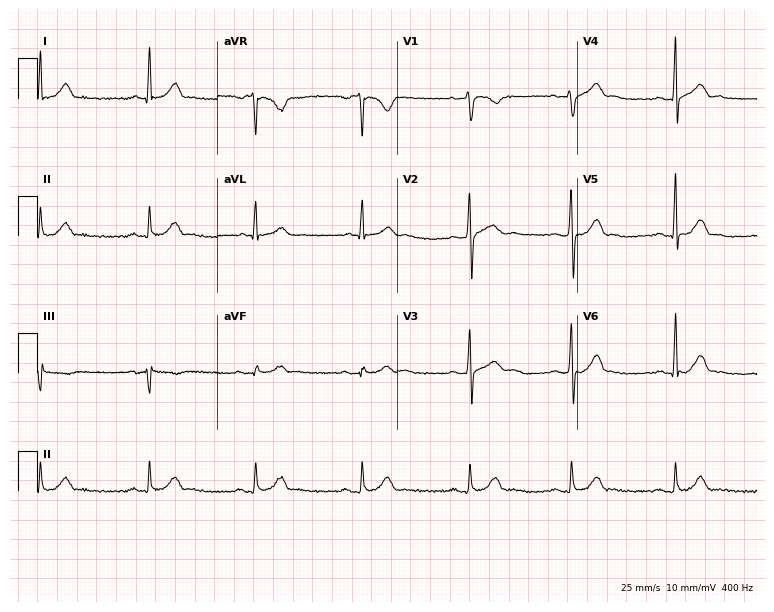
12-lead ECG from a man, 44 years old. Recorded interpretation: within normal limits.